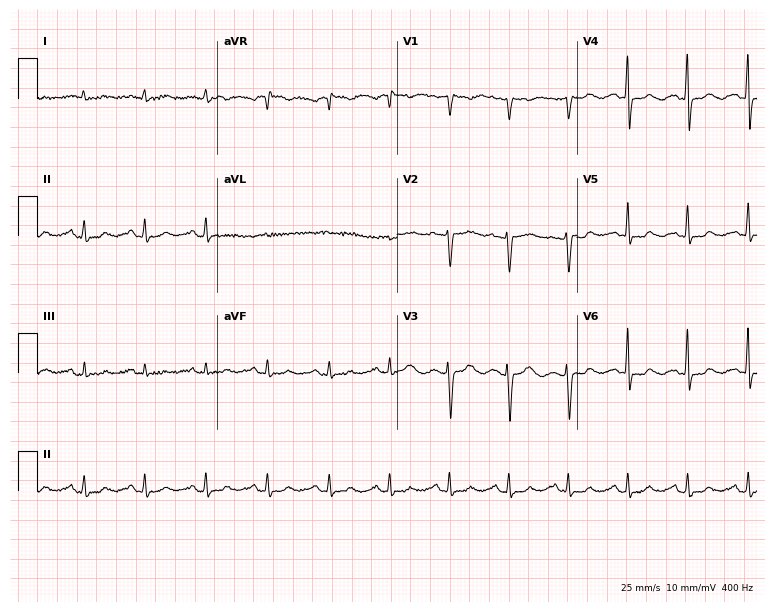
Resting 12-lead electrocardiogram (7.3-second recording at 400 Hz). Patient: a 50-year-old woman. None of these six findings is recorded: first-degree AV block, right bundle branch block (RBBB), left bundle branch block (LBBB), sinus bradycardia, atrial fibrillation (AF), sinus tachycardia. Other findings, if any, are not listed.